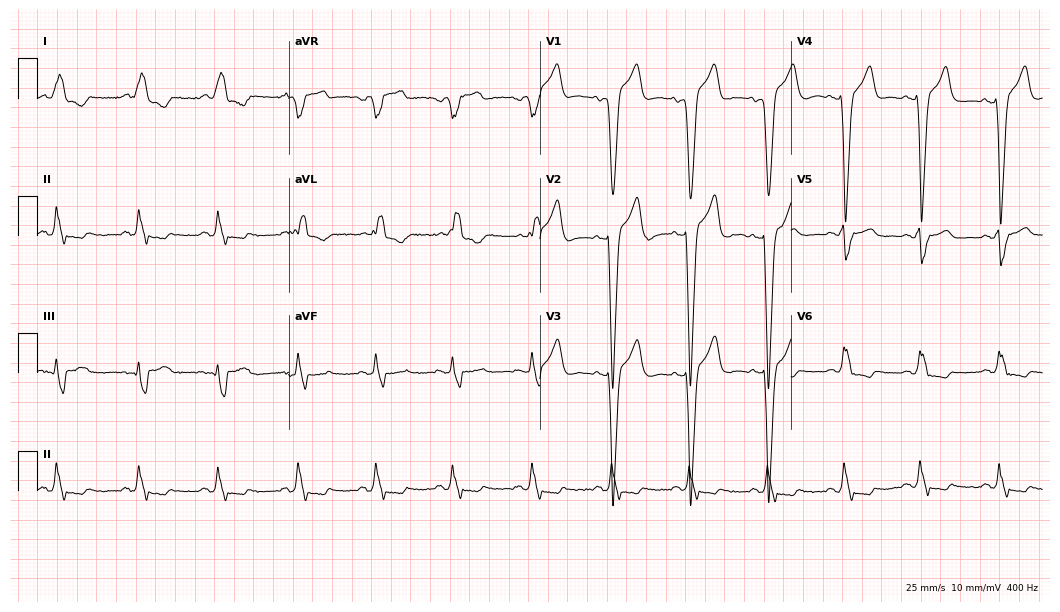
Standard 12-lead ECG recorded from a male patient, 53 years old (10.2-second recording at 400 Hz). The tracing shows left bundle branch block.